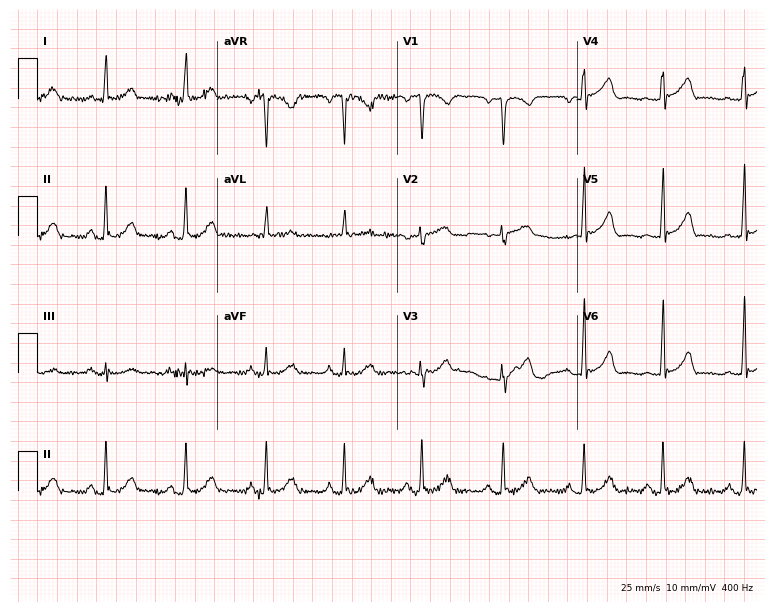
Standard 12-lead ECG recorded from a woman, 53 years old (7.3-second recording at 400 Hz). None of these six findings is recorded: first-degree AV block, right bundle branch block (RBBB), left bundle branch block (LBBB), sinus bradycardia, atrial fibrillation (AF), sinus tachycardia. Findings outside these six are not listed.